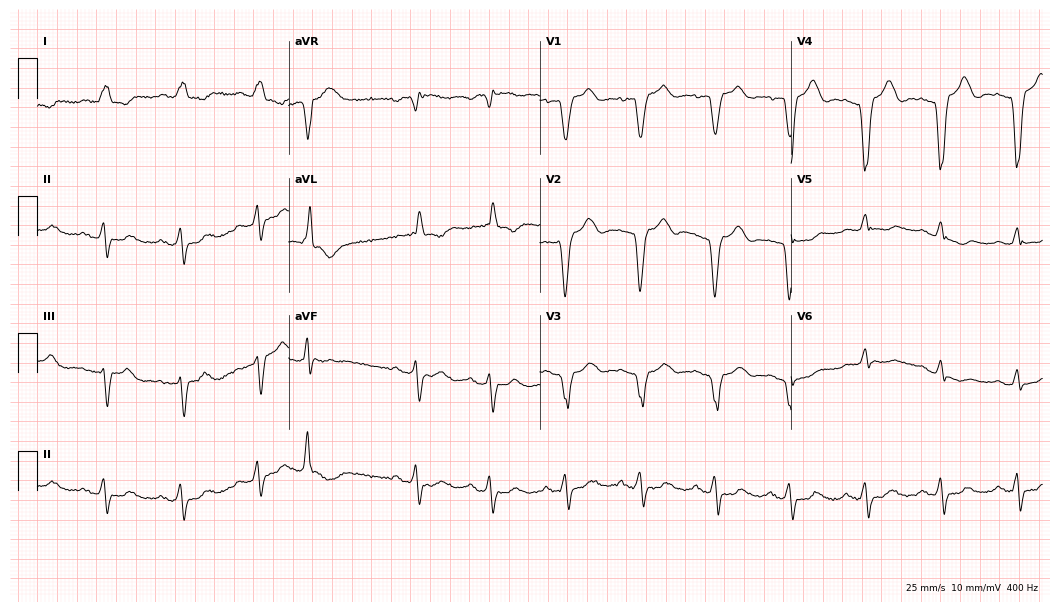
12-lead ECG from an 83-year-old female. Screened for six findings — first-degree AV block, right bundle branch block, left bundle branch block, sinus bradycardia, atrial fibrillation, sinus tachycardia — none is recorded. Only these six findings were labelled.